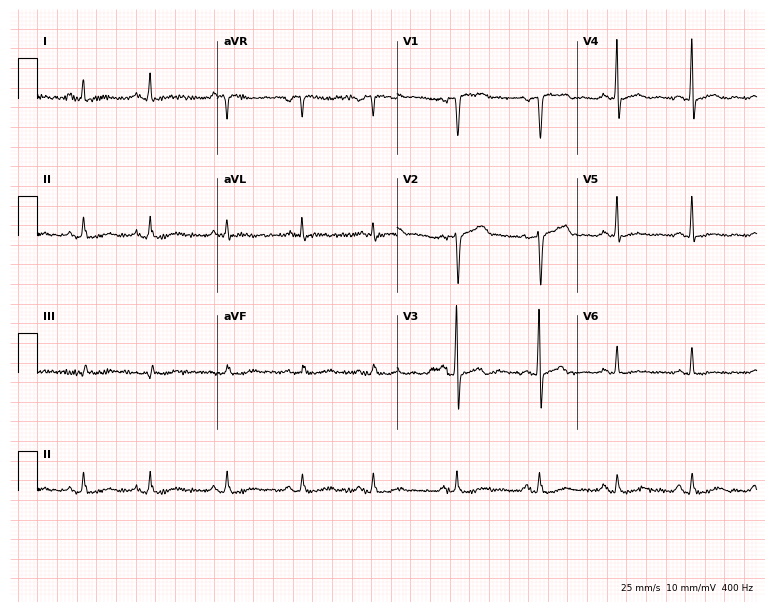
Electrocardiogram (7.3-second recording at 400 Hz), a 62-year-old female patient. Overall reading on record: normal ECG.